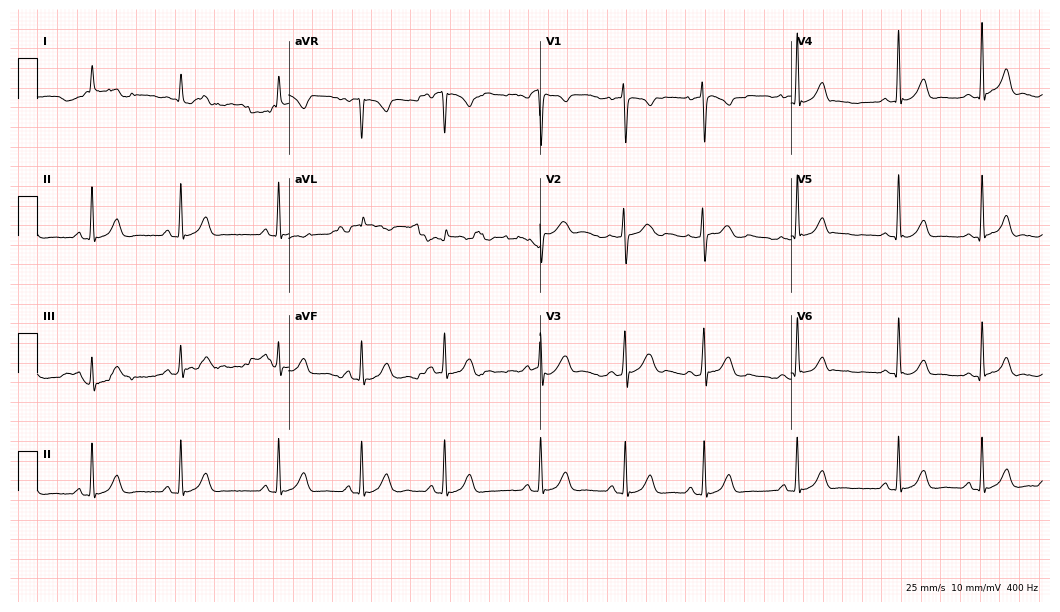
12-lead ECG (10.2-second recording at 400 Hz) from a 17-year-old female patient. Labelled as a normal ECG.